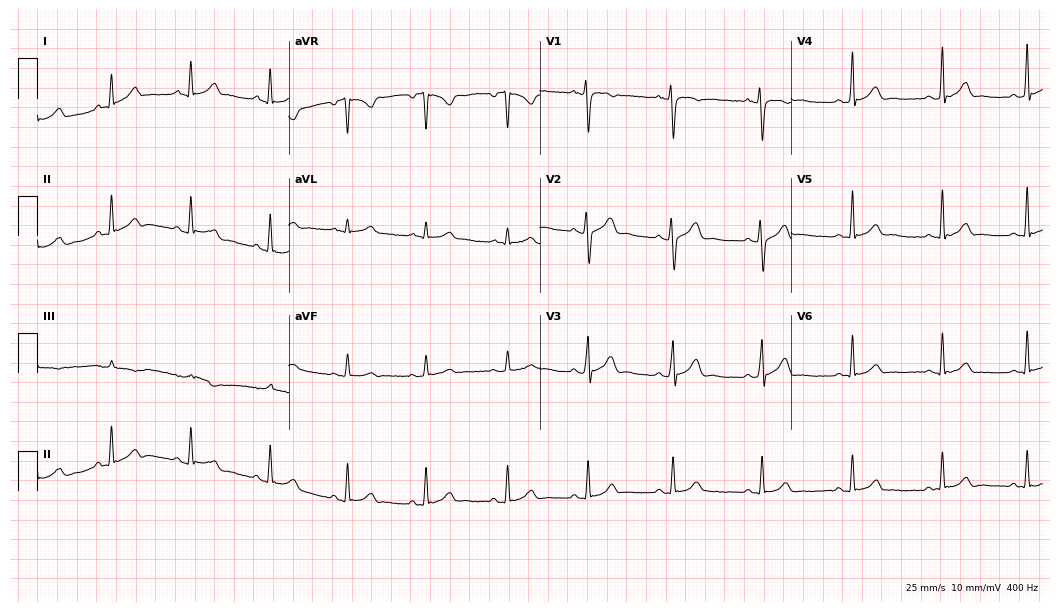
12-lead ECG from a male, 30 years old. Labelled as a normal ECG.